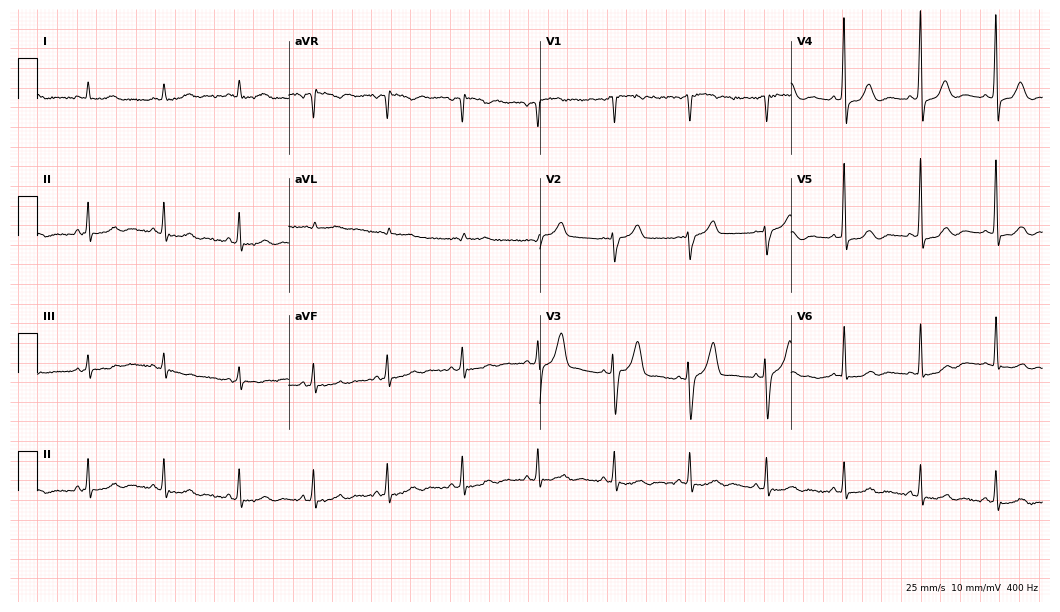
12-lead ECG from a male, 73 years old. Recorded interpretation: within normal limits.